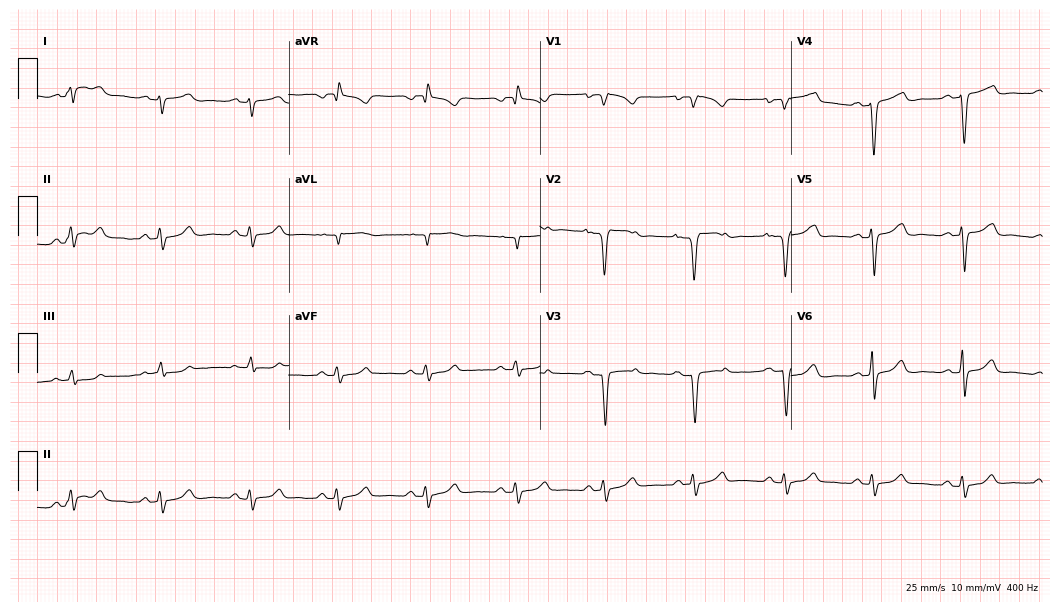
Electrocardiogram (10.2-second recording at 400 Hz), a 34-year-old woman. Of the six screened findings (first-degree AV block, right bundle branch block (RBBB), left bundle branch block (LBBB), sinus bradycardia, atrial fibrillation (AF), sinus tachycardia), none is recorded.